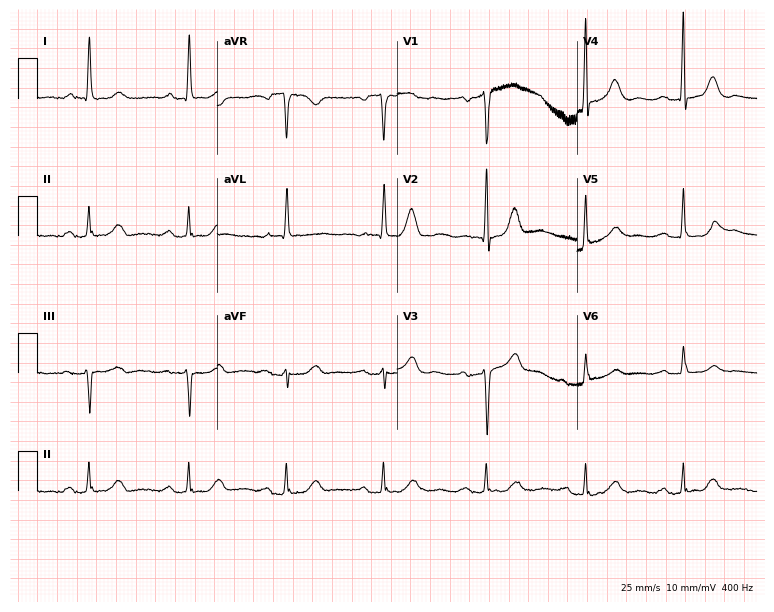
Electrocardiogram (7.3-second recording at 400 Hz), a female, 85 years old. Interpretation includes first-degree AV block.